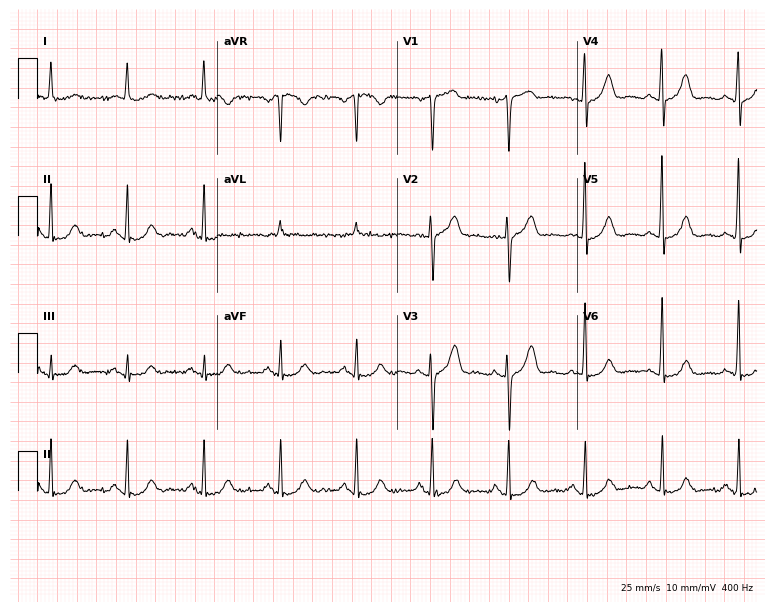
Standard 12-lead ECG recorded from a female, 73 years old (7.3-second recording at 400 Hz). None of these six findings is recorded: first-degree AV block, right bundle branch block, left bundle branch block, sinus bradycardia, atrial fibrillation, sinus tachycardia.